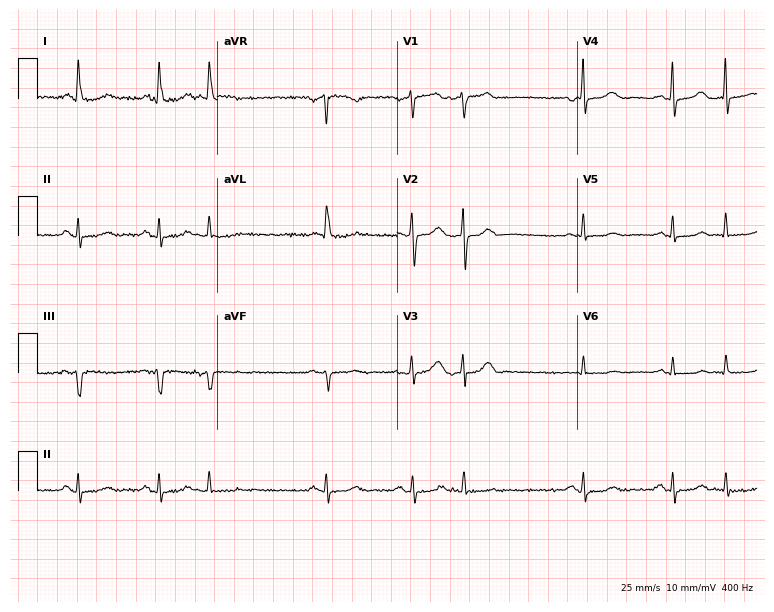
Standard 12-lead ECG recorded from a female, 59 years old (7.3-second recording at 400 Hz). None of these six findings is recorded: first-degree AV block, right bundle branch block, left bundle branch block, sinus bradycardia, atrial fibrillation, sinus tachycardia.